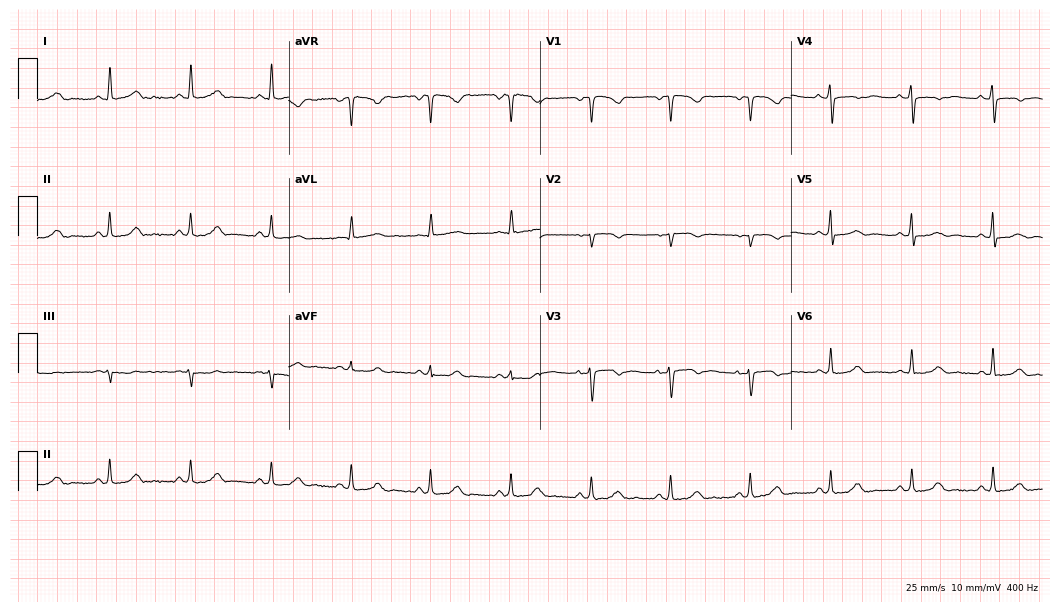
12-lead ECG from a female, 45 years old. Screened for six findings — first-degree AV block, right bundle branch block (RBBB), left bundle branch block (LBBB), sinus bradycardia, atrial fibrillation (AF), sinus tachycardia — none is recorded. Other findings, if any, are not listed.